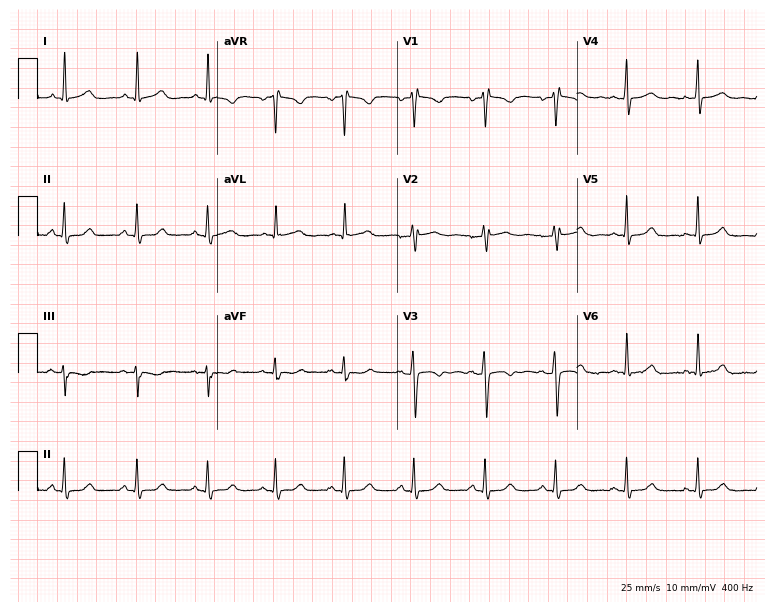
Resting 12-lead electrocardiogram. Patient: a 31-year-old female. Read as a normal ECG.